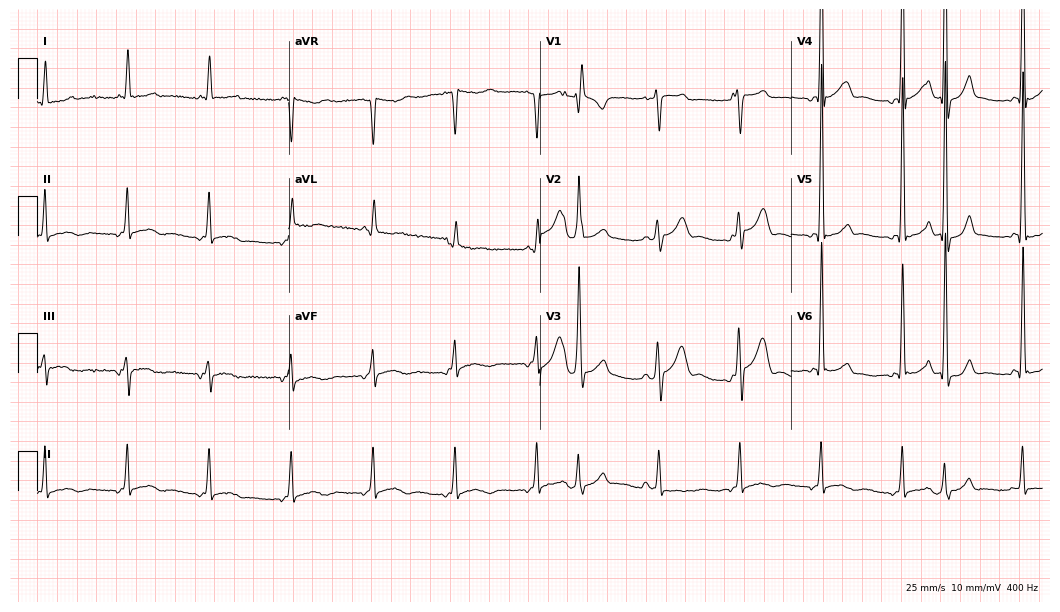
Standard 12-lead ECG recorded from a 67-year-old male (10.2-second recording at 400 Hz). Read as a normal ECG.